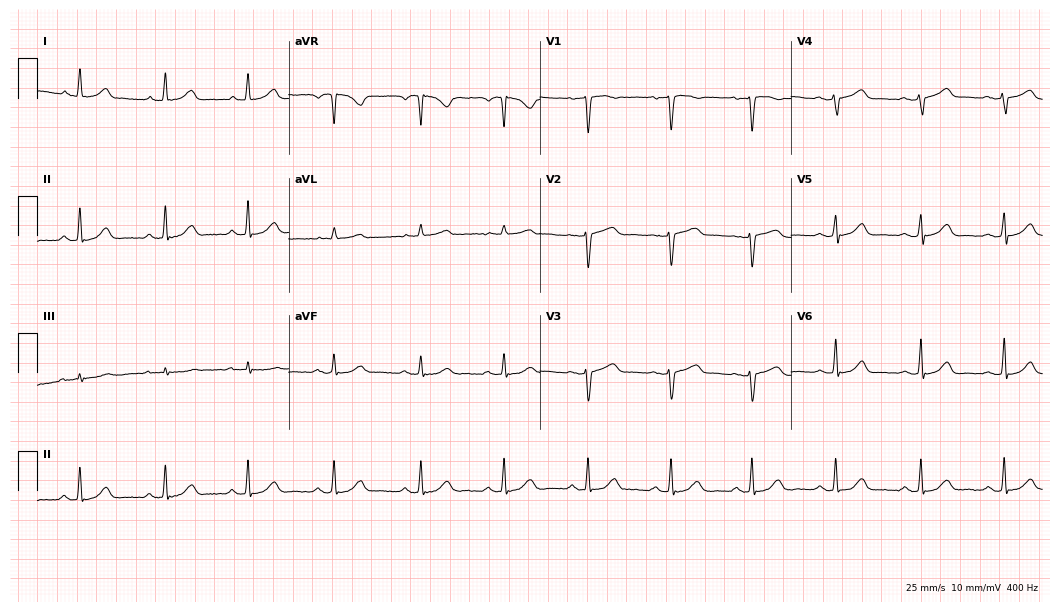
Resting 12-lead electrocardiogram. Patient: a 46-year-old female. None of these six findings is recorded: first-degree AV block, right bundle branch block, left bundle branch block, sinus bradycardia, atrial fibrillation, sinus tachycardia.